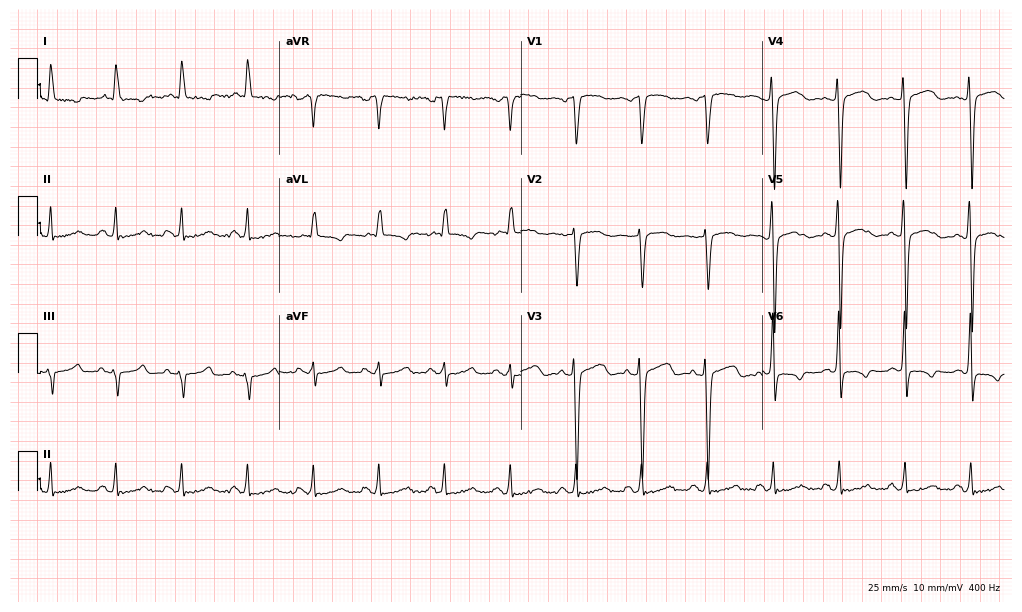
Electrocardiogram, a 58-year-old man. Of the six screened findings (first-degree AV block, right bundle branch block (RBBB), left bundle branch block (LBBB), sinus bradycardia, atrial fibrillation (AF), sinus tachycardia), none is recorded. Findings outside these six are not listed.